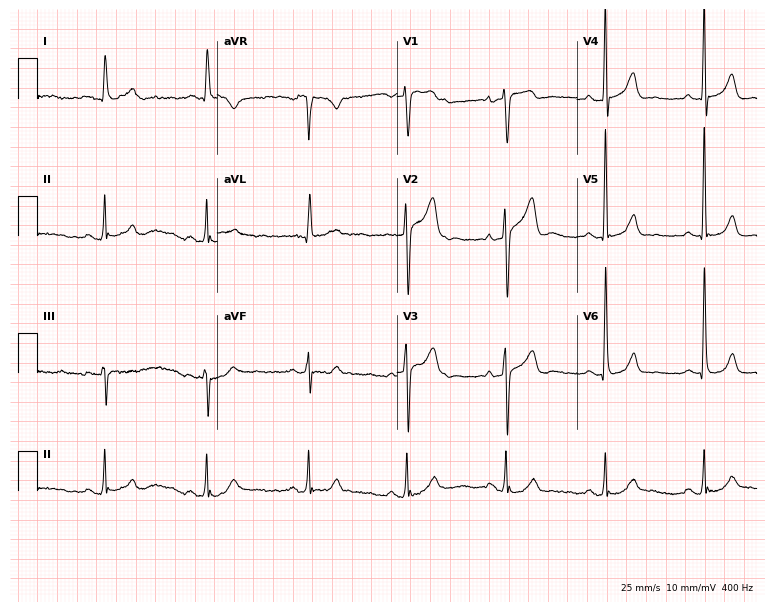
12-lead ECG (7.3-second recording at 400 Hz) from a 62-year-old male. Labelled as a normal ECG.